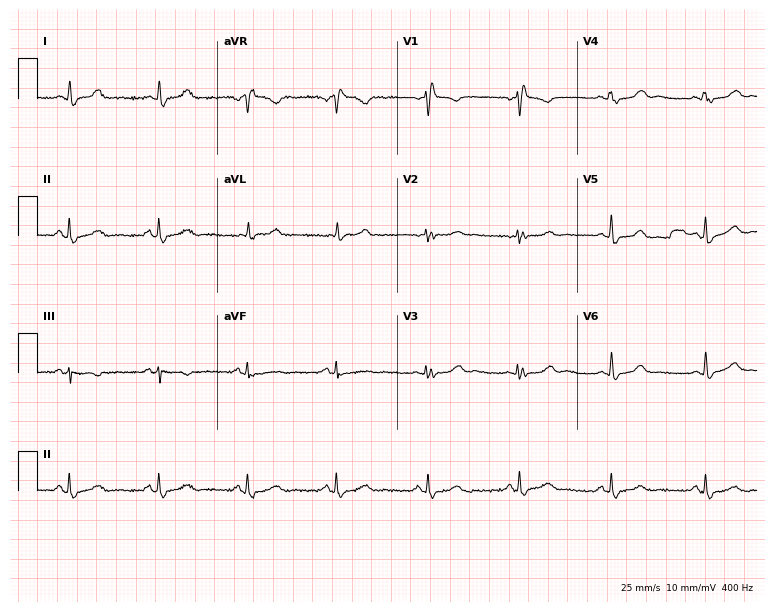
ECG (7.3-second recording at 400 Hz) — a female patient, 48 years old. Findings include right bundle branch block (RBBB).